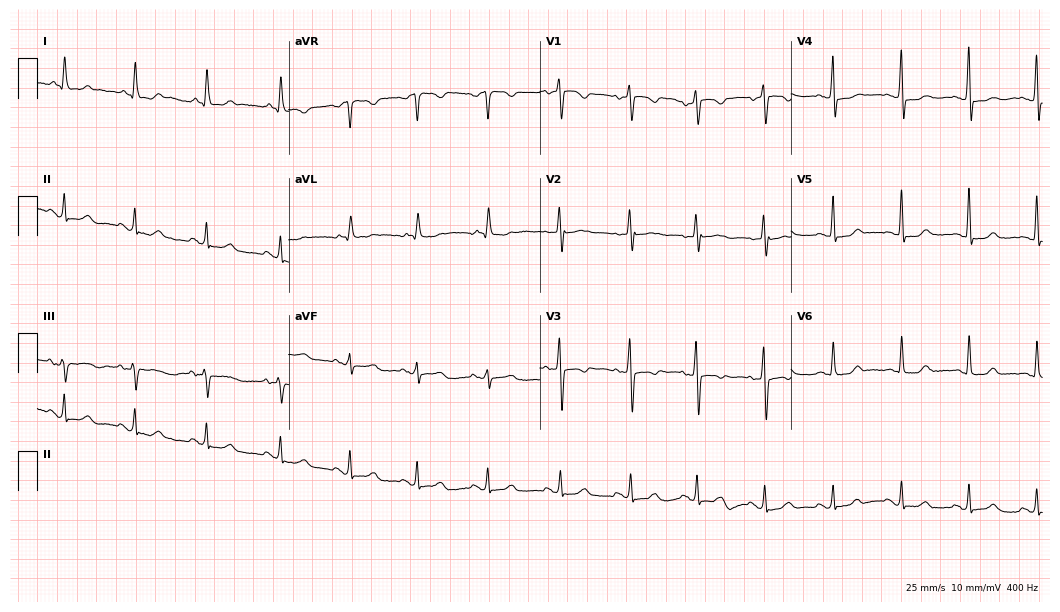
ECG (10.2-second recording at 400 Hz) — a female, 59 years old. Labelled as a normal ECG.